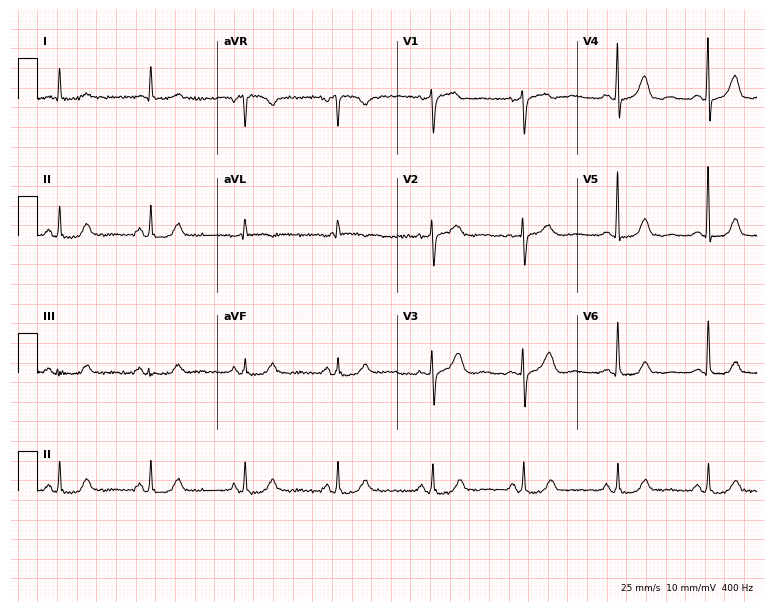
Electrocardiogram (7.3-second recording at 400 Hz), a 65-year-old woman. Of the six screened findings (first-degree AV block, right bundle branch block, left bundle branch block, sinus bradycardia, atrial fibrillation, sinus tachycardia), none is recorded. Only these six findings were labelled.